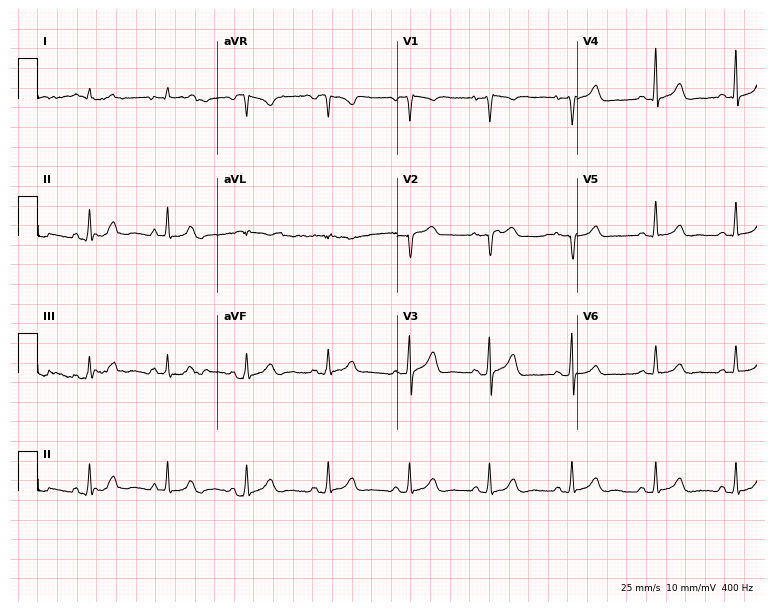
Standard 12-lead ECG recorded from a 46-year-old man. None of these six findings is recorded: first-degree AV block, right bundle branch block (RBBB), left bundle branch block (LBBB), sinus bradycardia, atrial fibrillation (AF), sinus tachycardia.